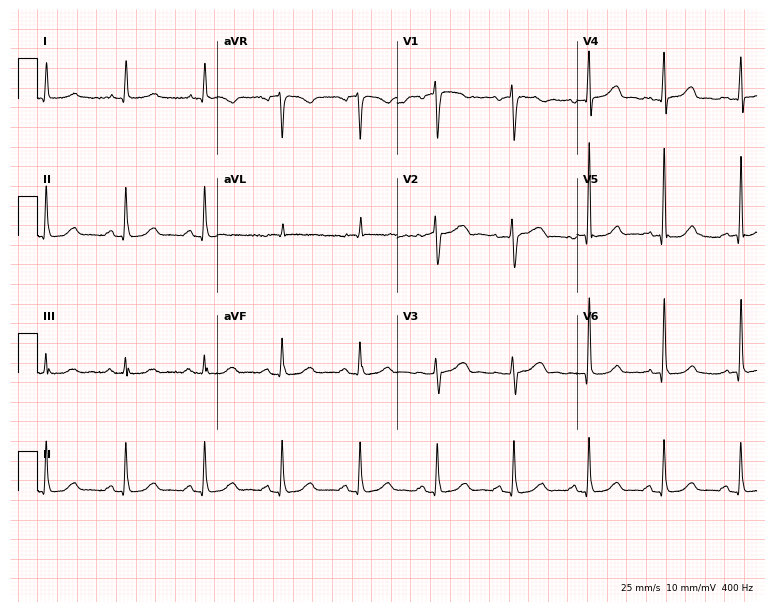
12-lead ECG from a woman, 61 years old (7.3-second recording at 400 Hz). Recorded interpretation: within normal limits.